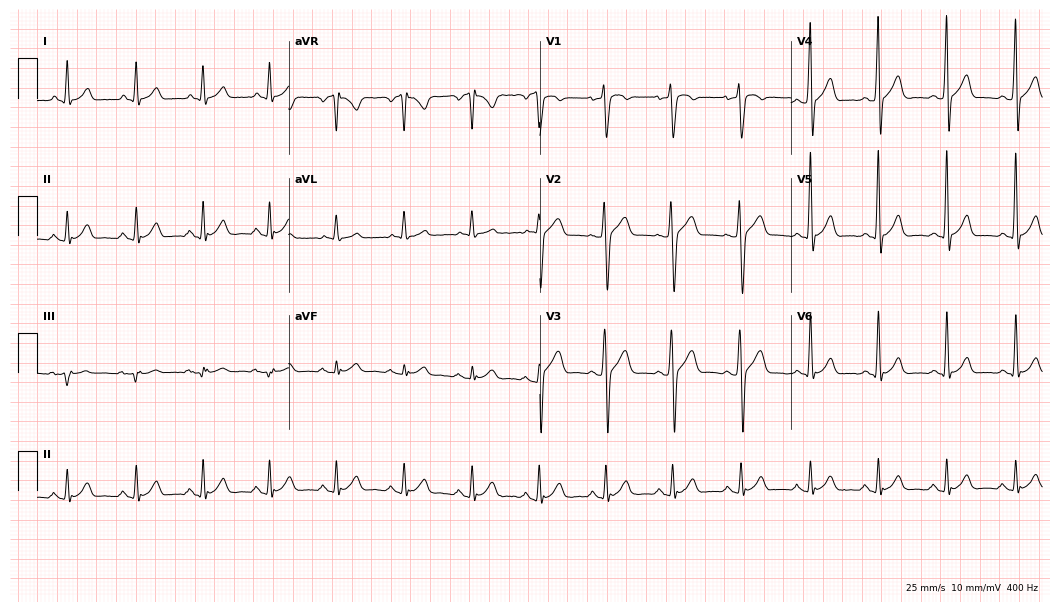
Resting 12-lead electrocardiogram (10.2-second recording at 400 Hz). Patient: a man, 47 years old. Read as a normal ECG.